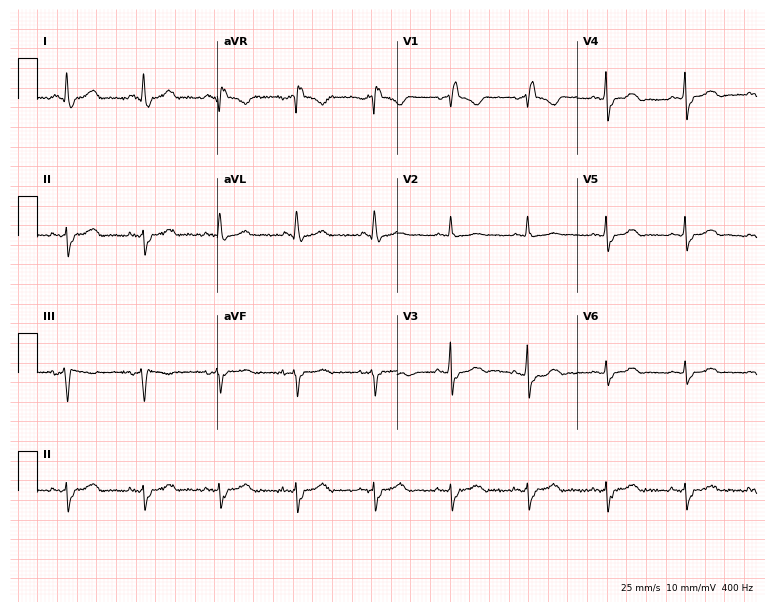
Resting 12-lead electrocardiogram. Patient: a 73-year-old woman. The tracing shows right bundle branch block.